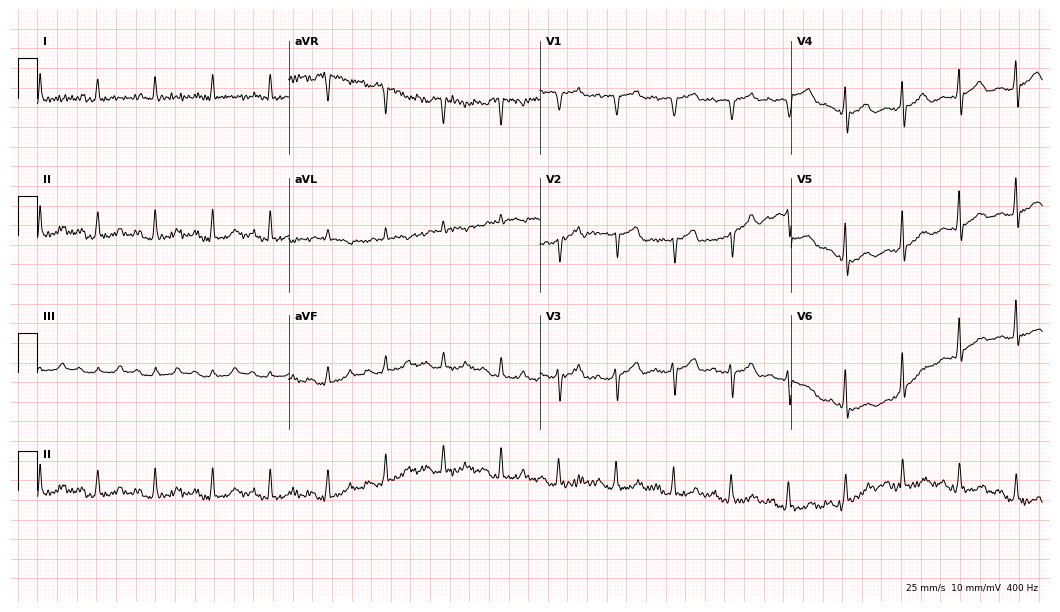
Standard 12-lead ECG recorded from a male, 61 years old. The tracing shows sinus tachycardia (a sinus rate of 100 beats per minute or more).